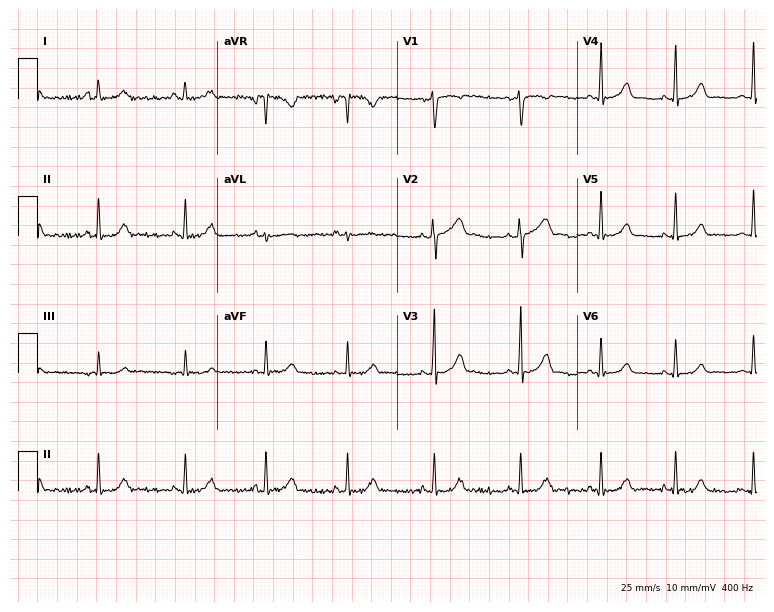
ECG (7.3-second recording at 400 Hz) — a female patient, 19 years old. Labelled as a normal ECG.